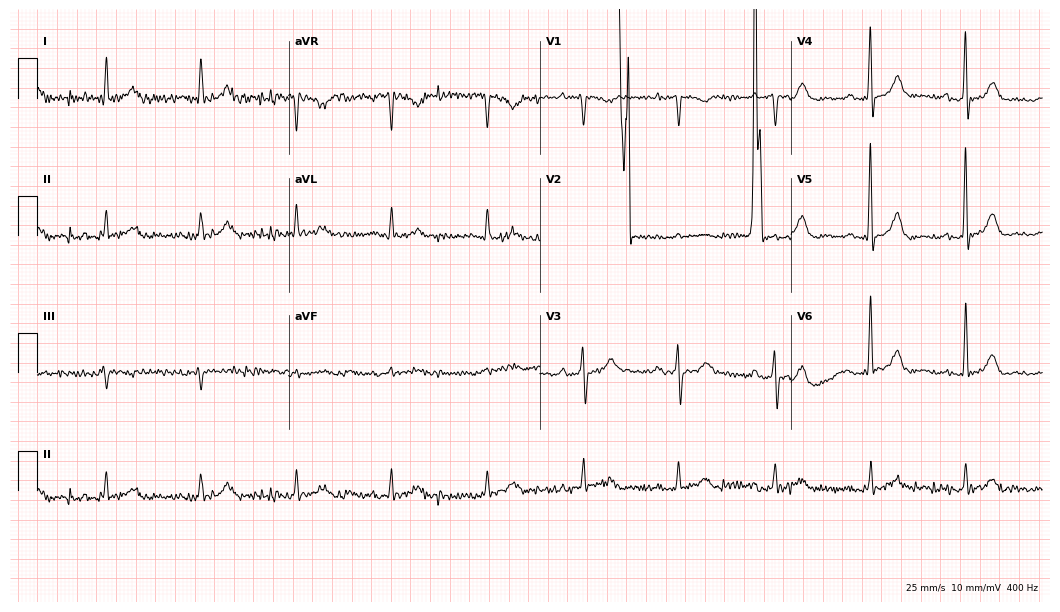
Resting 12-lead electrocardiogram (10.2-second recording at 400 Hz). Patient: an 85-year-old male. None of these six findings is recorded: first-degree AV block, right bundle branch block, left bundle branch block, sinus bradycardia, atrial fibrillation, sinus tachycardia.